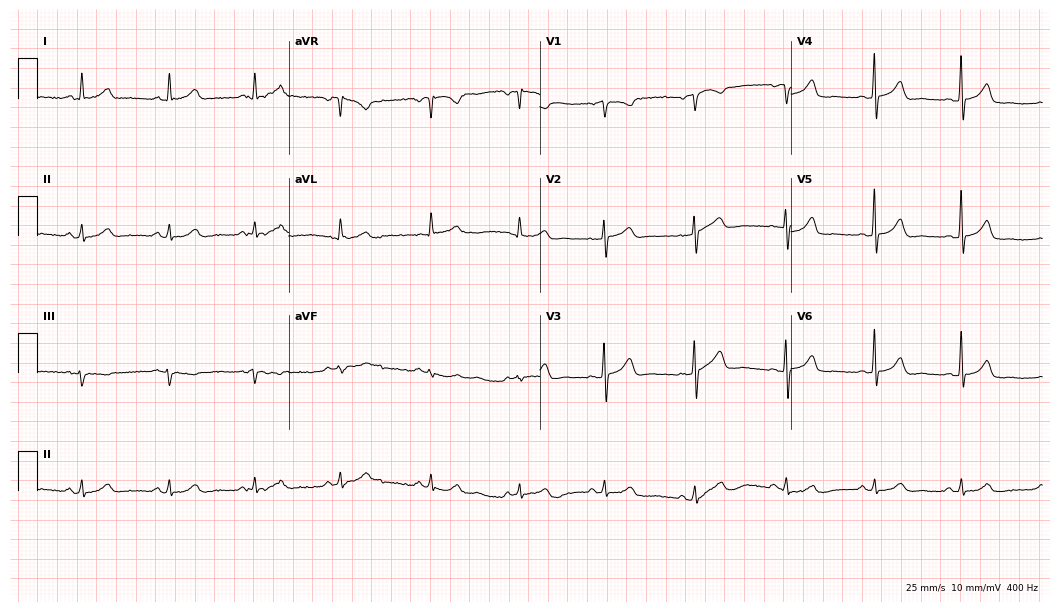
Electrocardiogram, a woman, 46 years old. Overall reading on record: normal ECG.